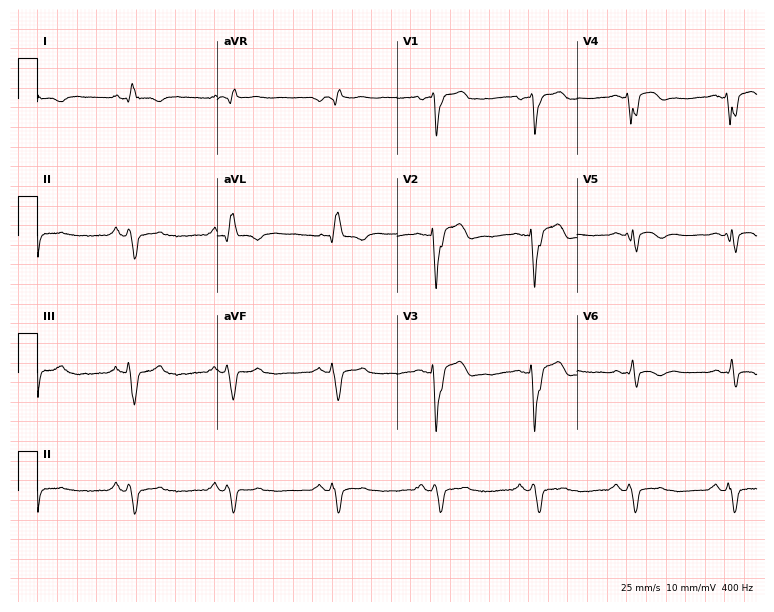
Resting 12-lead electrocardiogram (7.3-second recording at 400 Hz). Patient: a 62-year-old man. None of these six findings is recorded: first-degree AV block, right bundle branch block, left bundle branch block, sinus bradycardia, atrial fibrillation, sinus tachycardia. Only these six findings were labelled.